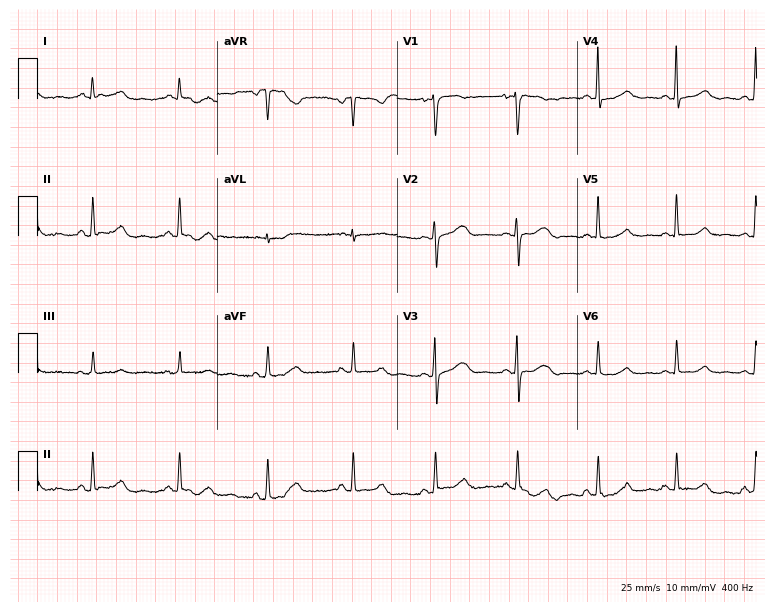
ECG (7.3-second recording at 400 Hz) — a 43-year-old female patient. Labelled as a normal ECG.